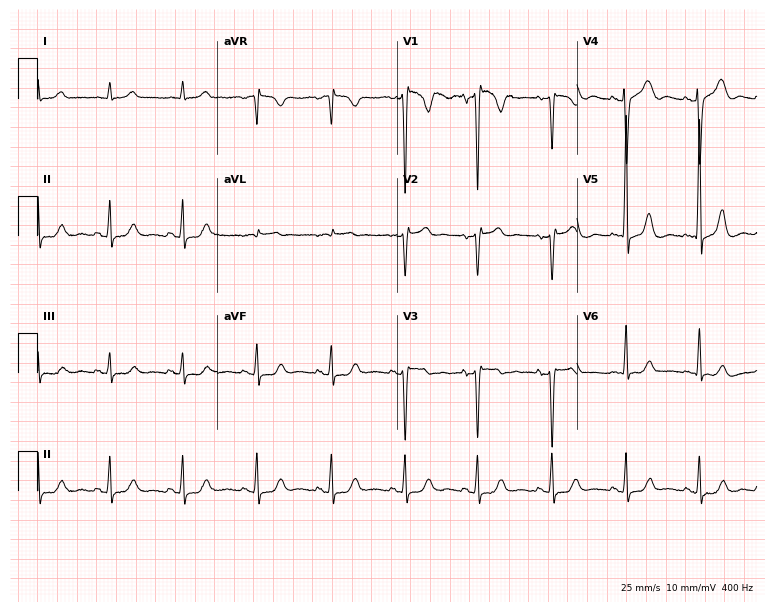
Resting 12-lead electrocardiogram. Patient: a female, 79 years old. None of these six findings is recorded: first-degree AV block, right bundle branch block (RBBB), left bundle branch block (LBBB), sinus bradycardia, atrial fibrillation (AF), sinus tachycardia.